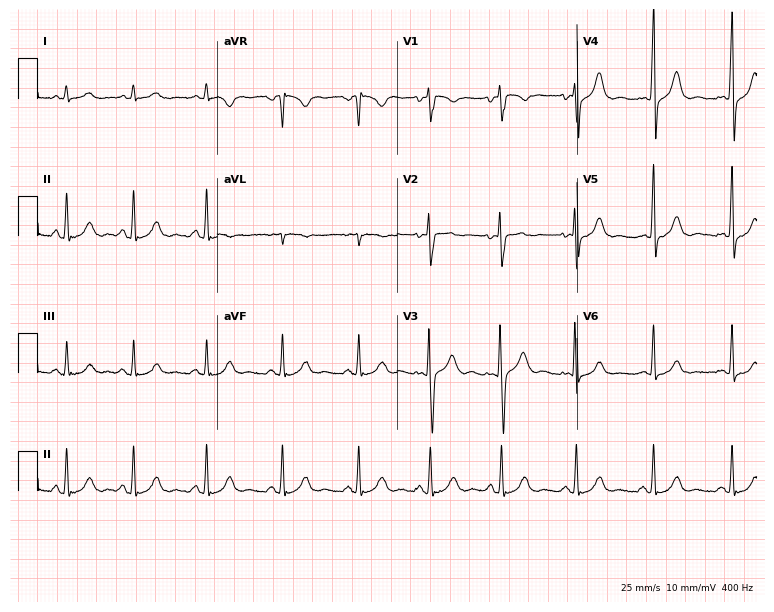
Resting 12-lead electrocardiogram. Patient: a 32-year-old female. None of these six findings is recorded: first-degree AV block, right bundle branch block (RBBB), left bundle branch block (LBBB), sinus bradycardia, atrial fibrillation (AF), sinus tachycardia.